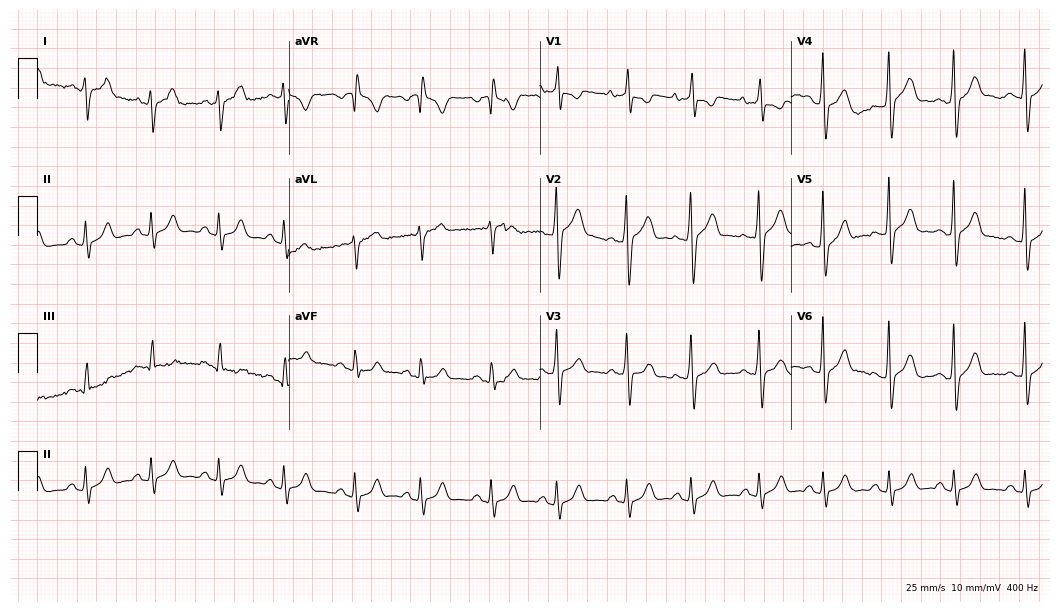
Resting 12-lead electrocardiogram (10.2-second recording at 400 Hz). Patient: a 27-year-old male. None of these six findings is recorded: first-degree AV block, right bundle branch block, left bundle branch block, sinus bradycardia, atrial fibrillation, sinus tachycardia.